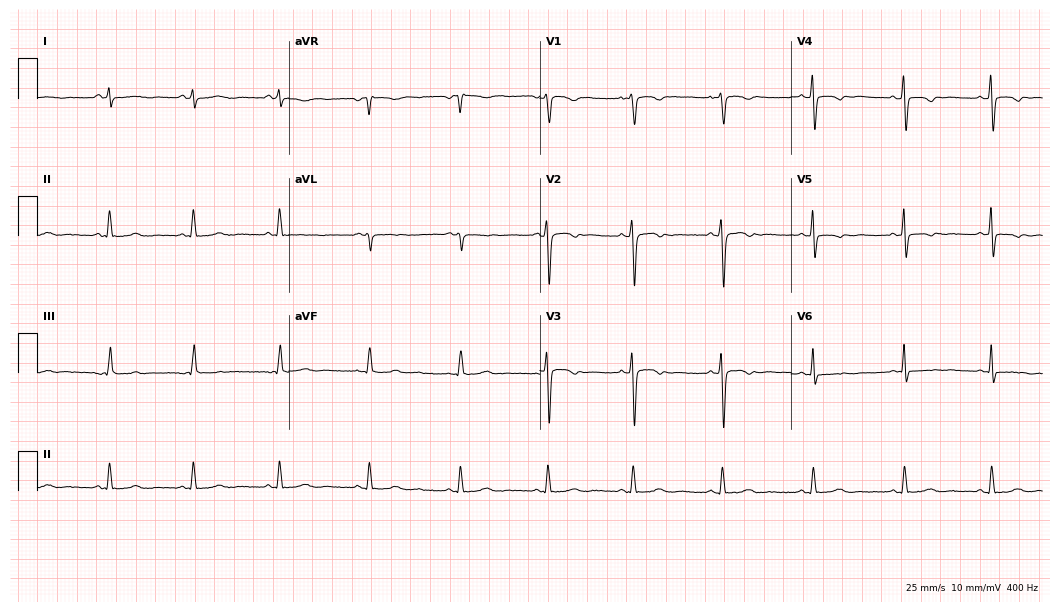
12-lead ECG (10.2-second recording at 400 Hz) from a 33-year-old female patient. Screened for six findings — first-degree AV block, right bundle branch block (RBBB), left bundle branch block (LBBB), sinus bradycardia, atrial fibrillation (AF), sinus tachycardia — none is recorded. Findings outside these six are not listed.